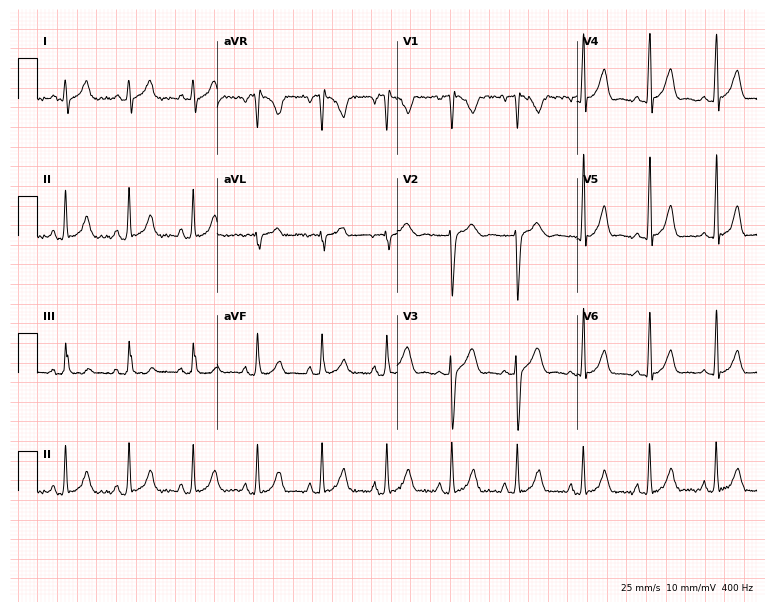
12-lead ECG from a 21-year-old man (7.3-second recording at 400 Hz). Recorded interpretation: within normal limits.